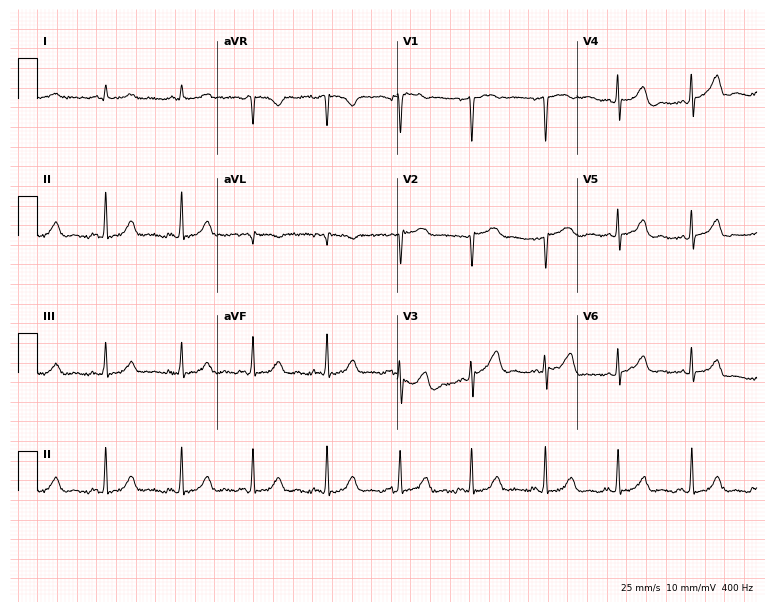
12-lead ECG from a man, 50 years old. Labelled as a normal ECG.